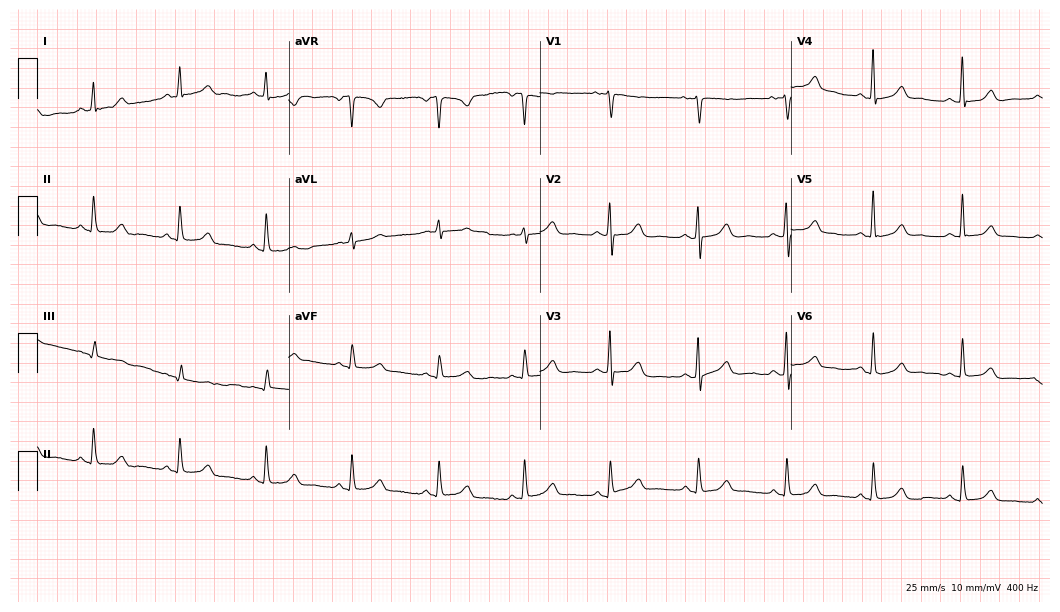
12-lead ECG from a woman, 64 years old (10.2-second recording at 400 Hz). Recorded interpretation: within normal limits.